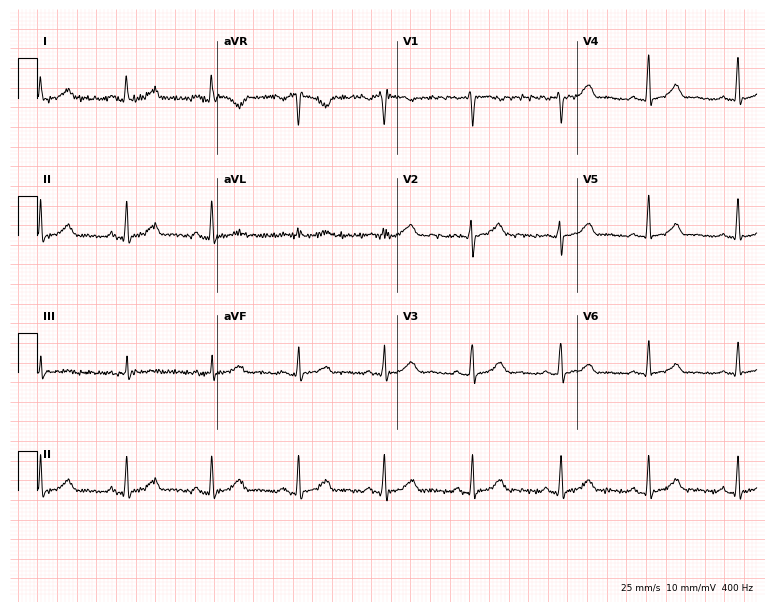
ECG — a female patient, 46 years old. Labelled as a normal ECG.